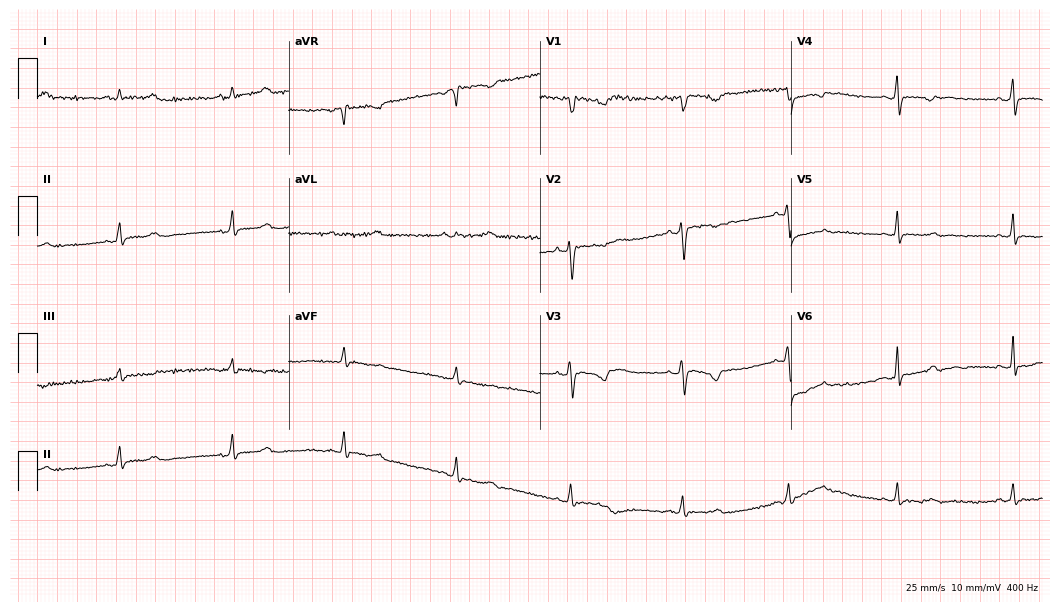
Resting 12-lead electrocardiogram. Patient: a female, 49 years old. None of these six findings is recorded: first-degree AV block, right bundle branch block (RBBB), left bundle branch block (LBBB), sinus bradycardia, atrial fibrillation (AF), sinus tachycardia.